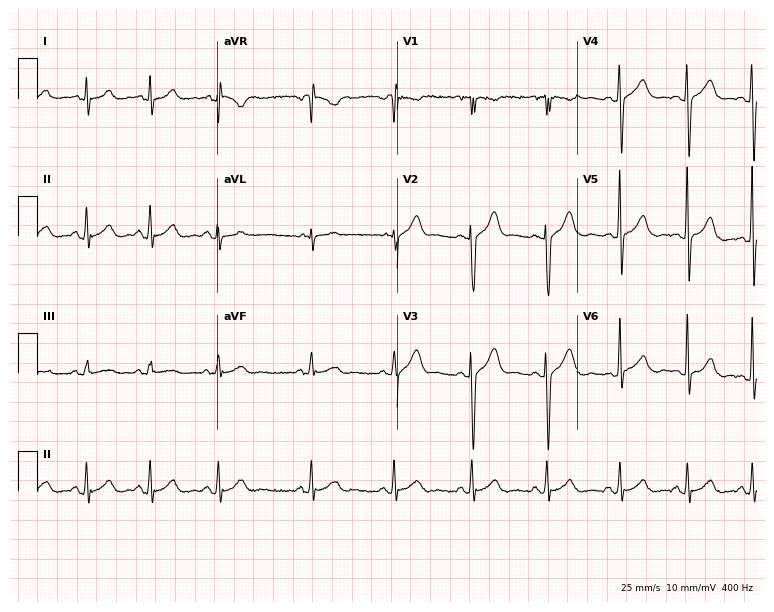
Standard 12-lead ECG recorded from a 50-year-old male. None of these six findings is recorded: first-degree AV block, right bundle branch block, left bundle branch block, sinus bradycardia, atrial fibrillation, sinus tachycardia. Only these six findings were labelled.